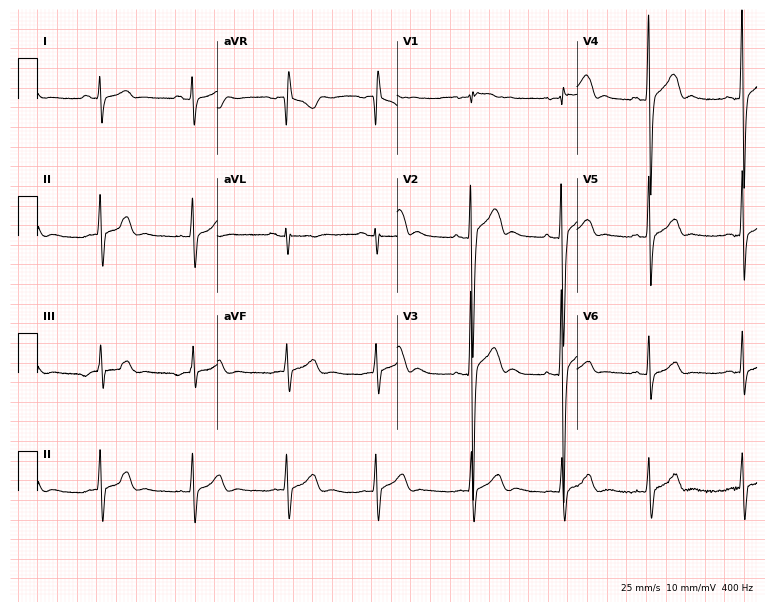
ECG — a 17-year-old male patient. Screened for six findings — first-degree AV block, right bundle branch block, left bundle branch block, sinus bradycardia, atrial fibrillation, sinus tachycardia — none is recorded. Findings outside these six are not listed.